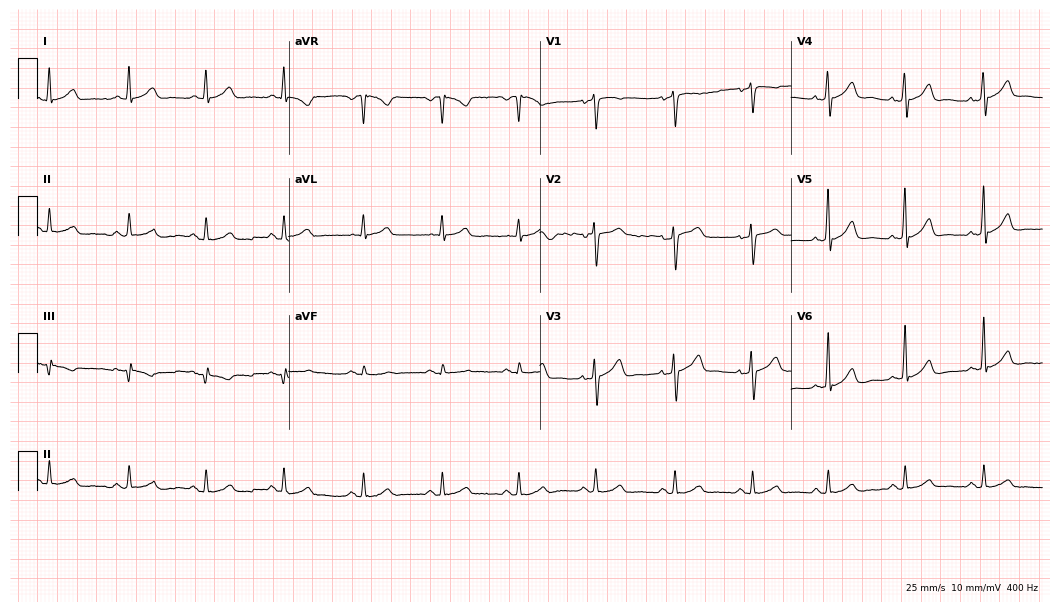
Standard 12-lead ECG recorded from a 48-year-old male patient (10.2-second recording at 400 Hz). Read as a normal ECG.